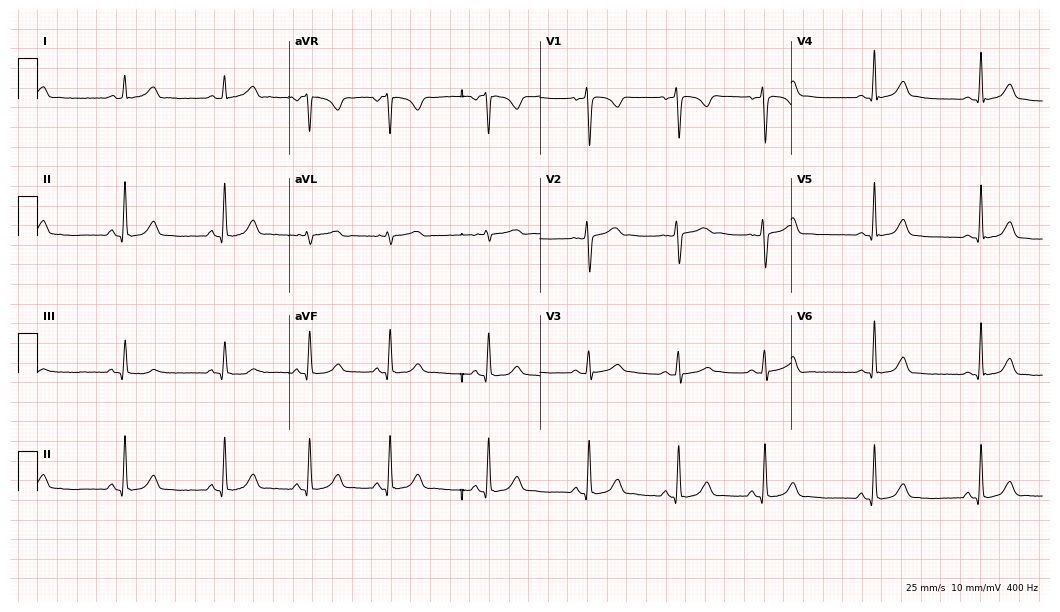
12-lead ECG (10.2-second recording at 400 Hz) from a 23-year-old female. Labelled as a normal ECG.